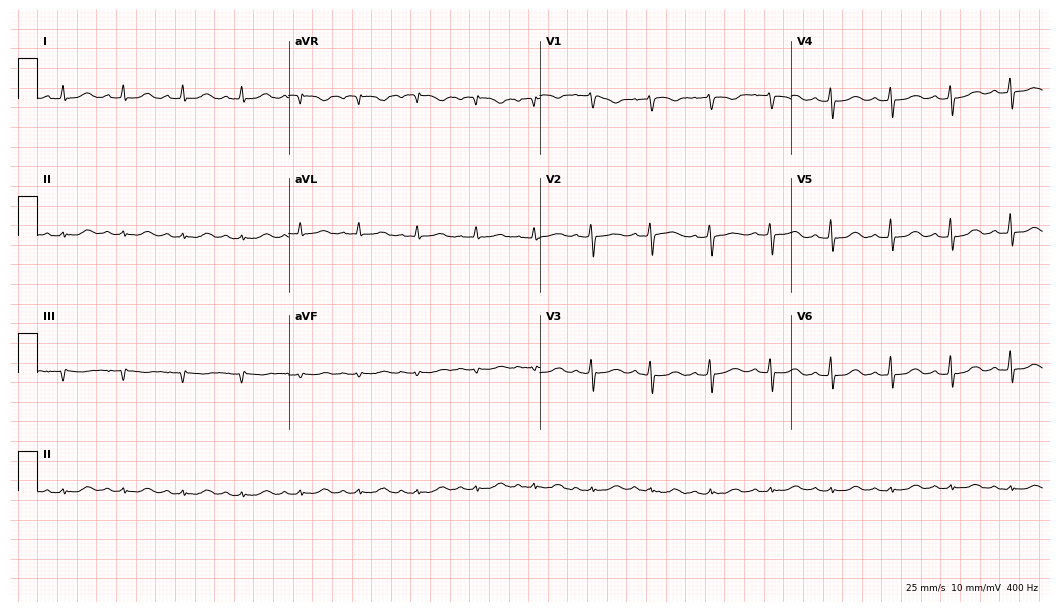
Electrocardiogram, a 65-year-old female. Of the six screened findings (first-degree AV block, right bundle branch block, left bundle branch block, sinus bradycardia, atrial fibrillation, sinus tachycardia), none is recorded.